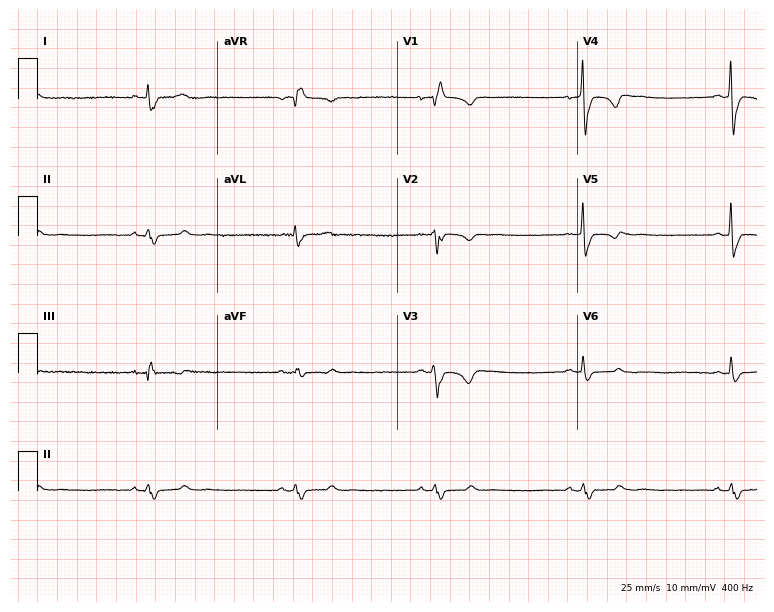
Electrocardiogram, a female, 59 years old. Interpretation includes right bundle branch block (RBBB), sinus bradycardia (a sinus rate of 50 beats per minute or less).